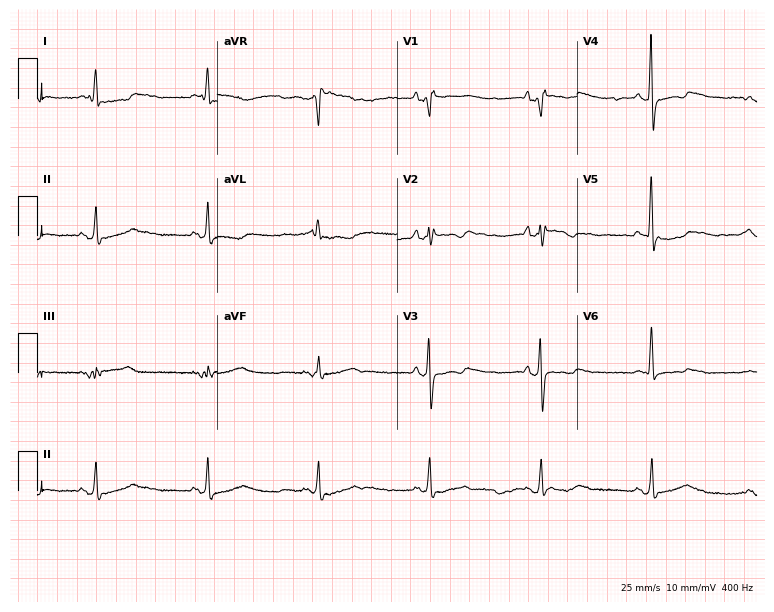
Resting 12-lead electrocardiogram (7.3-second recording at 400 Hz). Patient: a woman, 58 years old. None of these six findings is recorded: first-degree AV block, right bundle branch block, left bundle branch block, sinus bradycardia, atrial fibrillation, sinus tachycardia. Only these six findings were labelled.